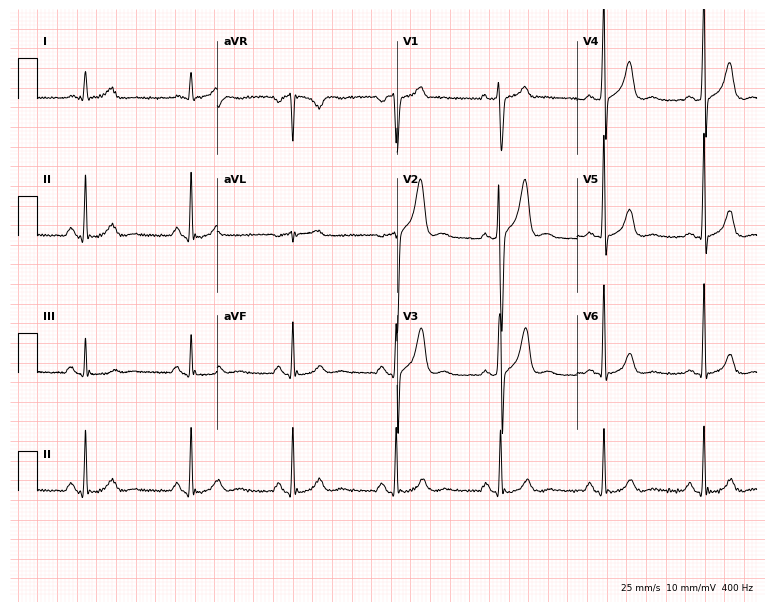
12-lead ECG from a 39-year-old male patient. Recorded interpretation: within normal limits.